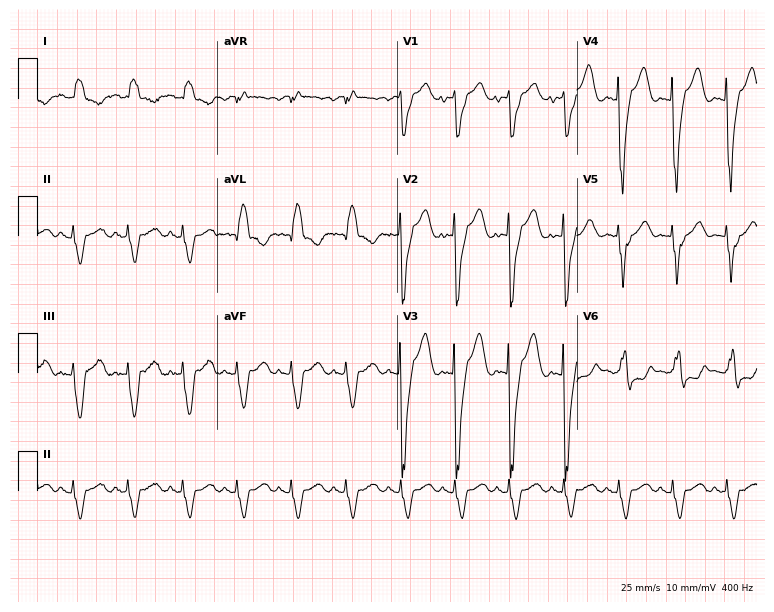
ECG — a female patient, 78 years old. Findings include left bundle branch block (LBBB), sinus tachycardia (a sinus rate of 100 beats per minute or more).